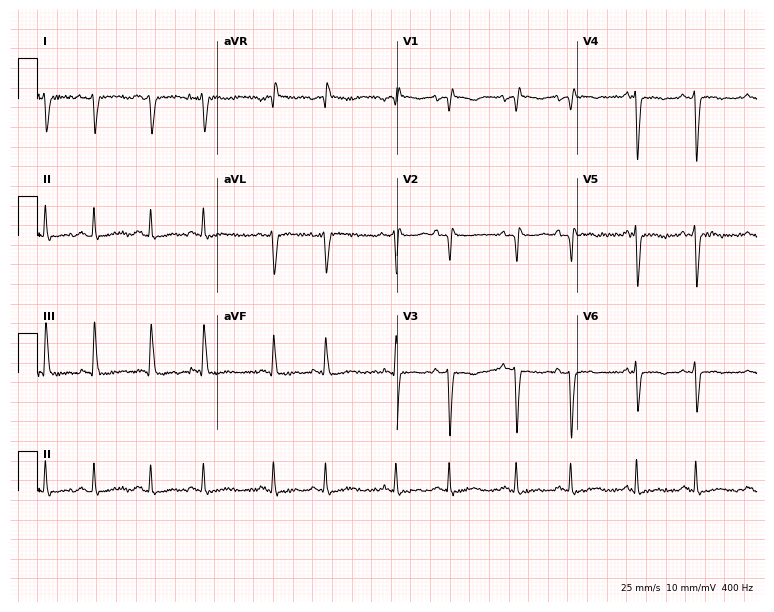
Standard 12-lead ECG recorded from a female patient, 84 years old (7.3-second recording at 400 Hz). None of these six findings is recorded: first-degree AV block, right bundle branch block, left bundle branch block, sinus bradycardia, atrial fibrillation, sinus tachycardia.